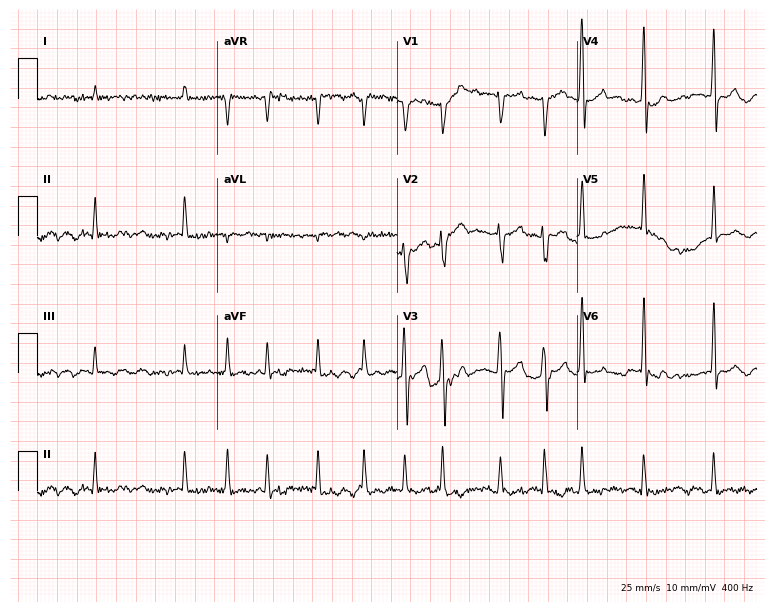
Electrocardiogram, a 71-year-old male patient. Interpretation includes atrial fibrillation.